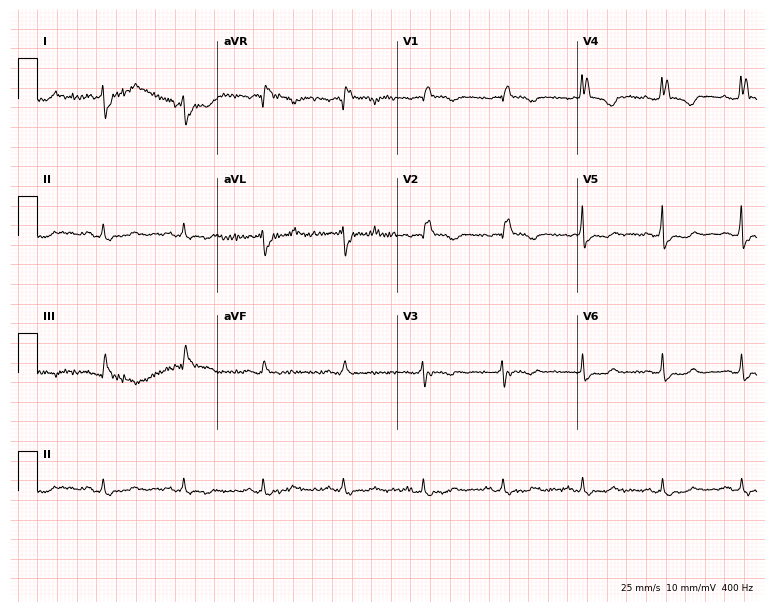
12-lead ECG from a woman, 35 years old (7.3-second recording at 400 Hz). Shows right bundle branch block.